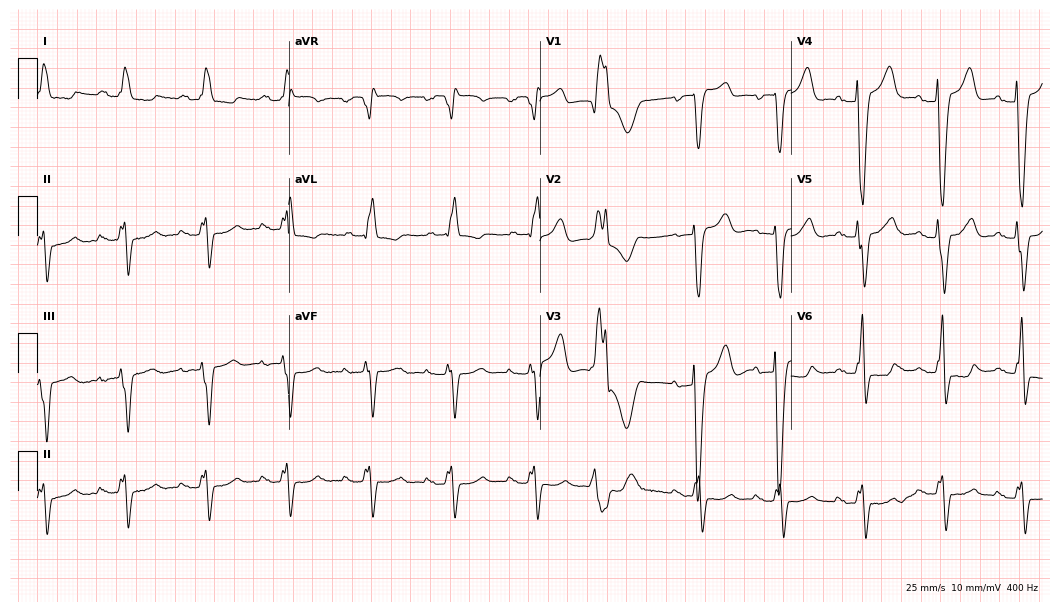
Resting 12-lead electrocardiogram (10.2-second recording at 400 Hz). Patient: a female, 75 years old. The tracing shows left bundle branch block.